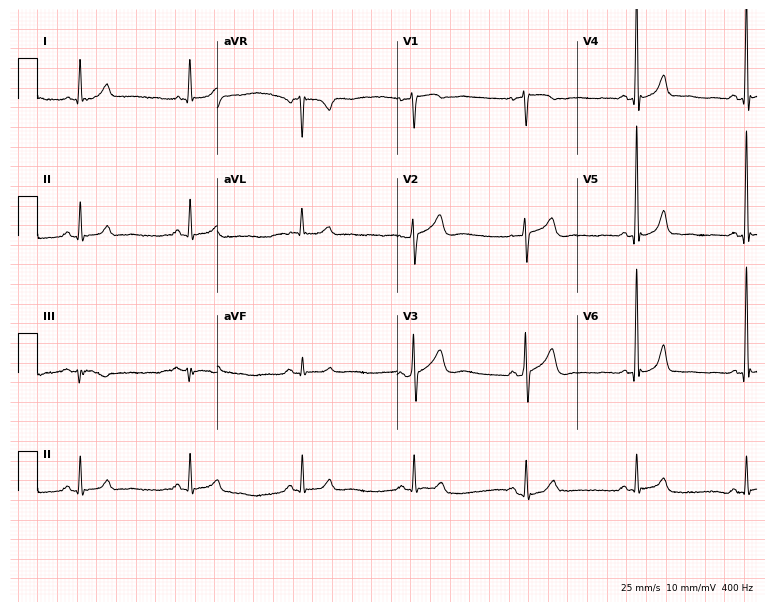
ECG (7.3-second recording at 400 Hz) — a 69-year-old female. Labelled as a normal ECG.